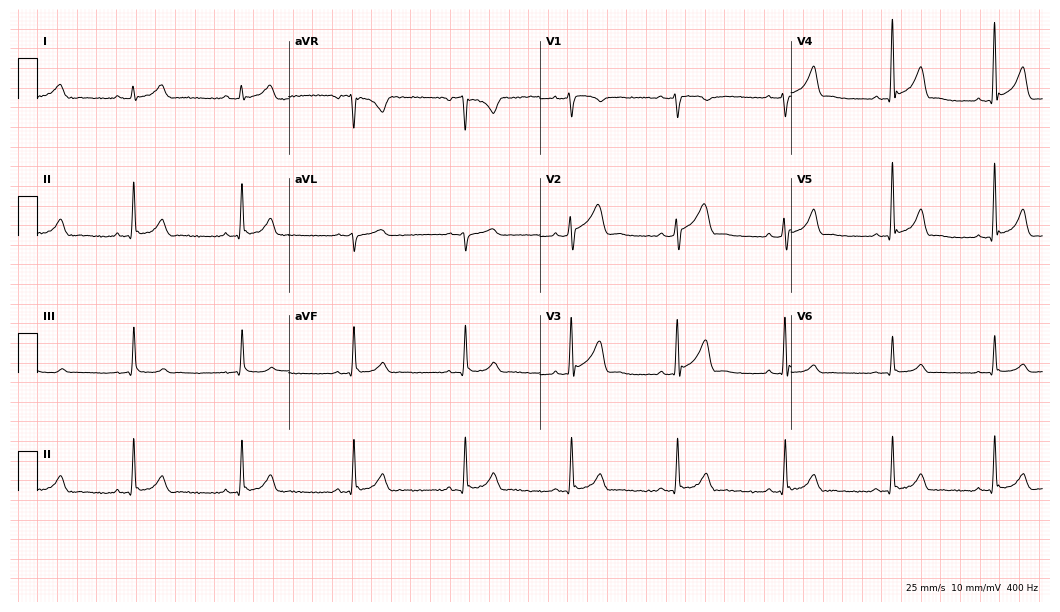
ECG — a 29-year-old male patient. Screened for six findings — first-degree AV block, right bundle branch block, left bundle branch block, sinus bradycardia, atrial fibrillation, sinus tachycardia — none is recorded. Only these six findings were labelled.